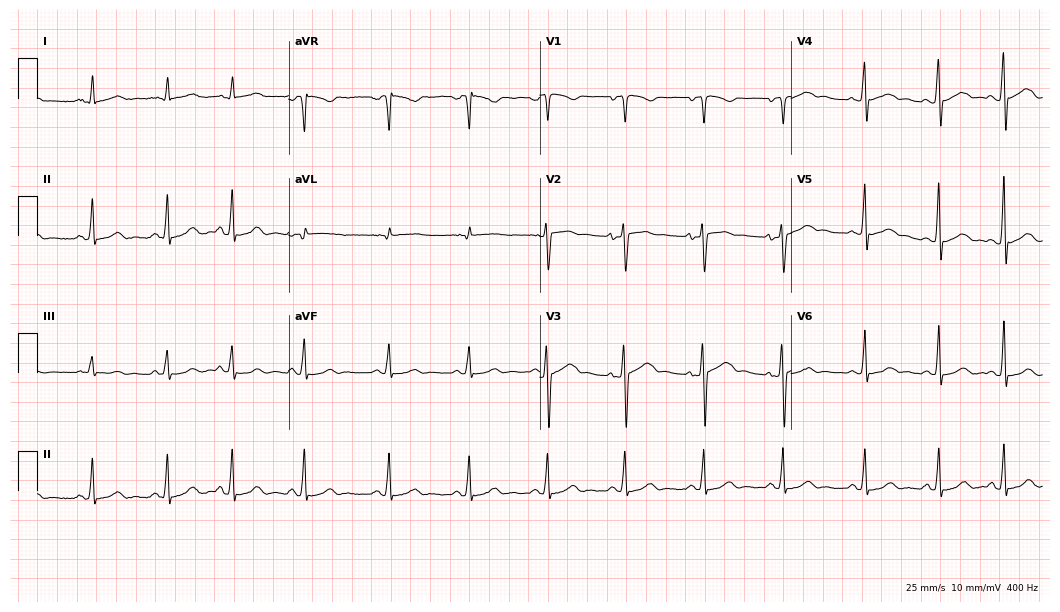
Resting 12-lead electrocardiogram (10.2-second recording at 400 Hz). Patient: a female, 20 years old. Read as a normal ECG.